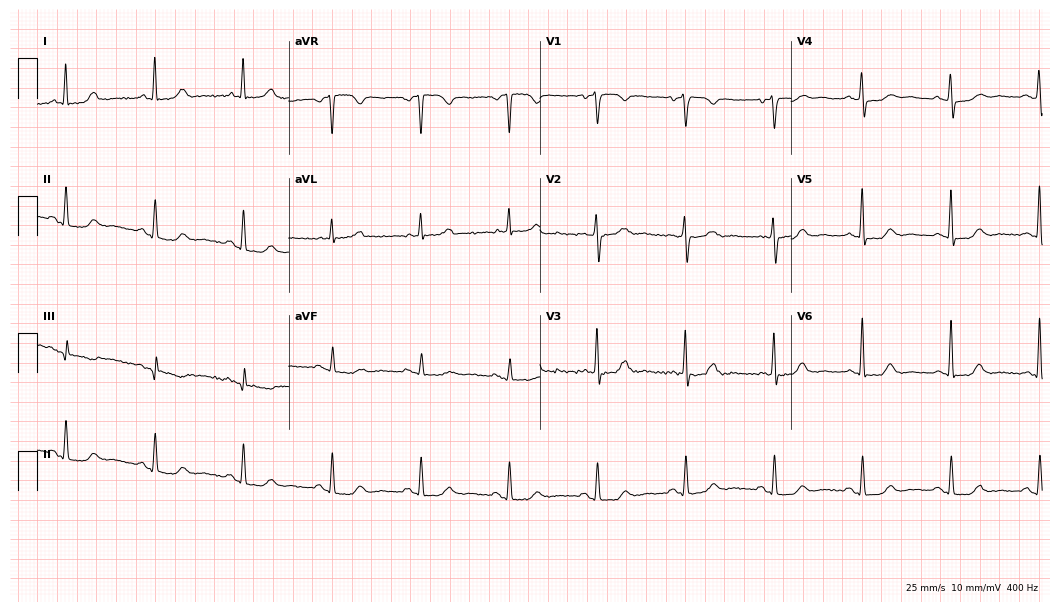
Resting 12-lead electrocardiogram (10.2-second recording at 400 Hz). Patient: a female, 60 years old. Read as a normal ECG.